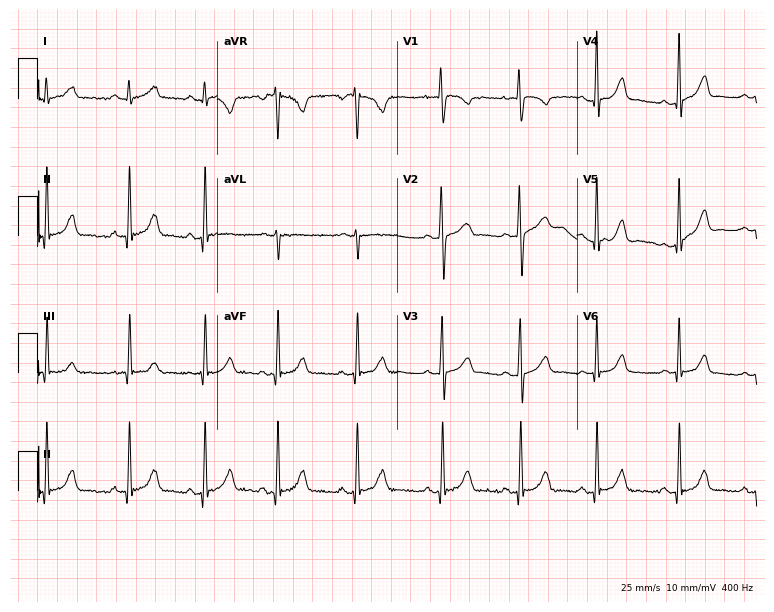
Standard 12-lead ECG recorded from a woman, 20 years old. Read as a normal ECG.